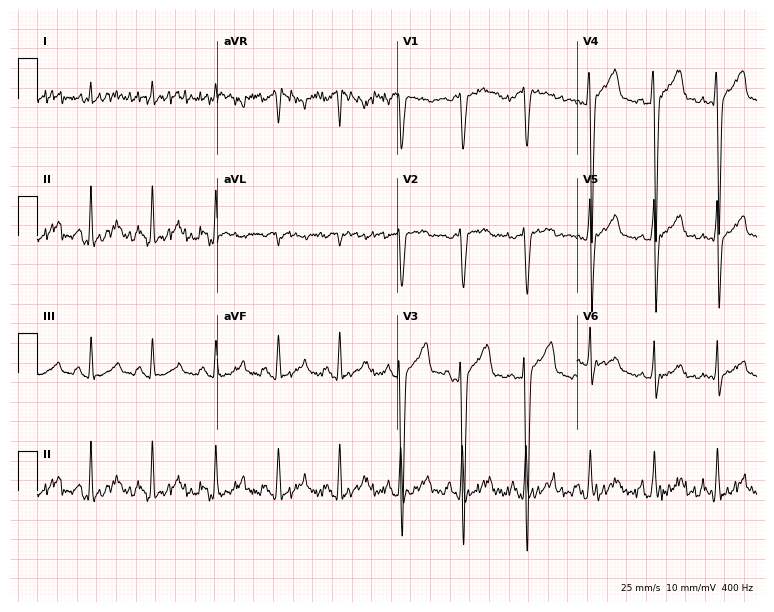
Electrocardiogram (7.3-second recording at 400 Hz), a male patient, 43 years old. Of the six screened findings (first-degree AV block, right bundle branch block (RBBB), left bundle branch block (LBBB), sinus bradycardia, atrial fibrillation (AF), sinus tachycardia), none is recorded. Other findings, if any, are not listed.